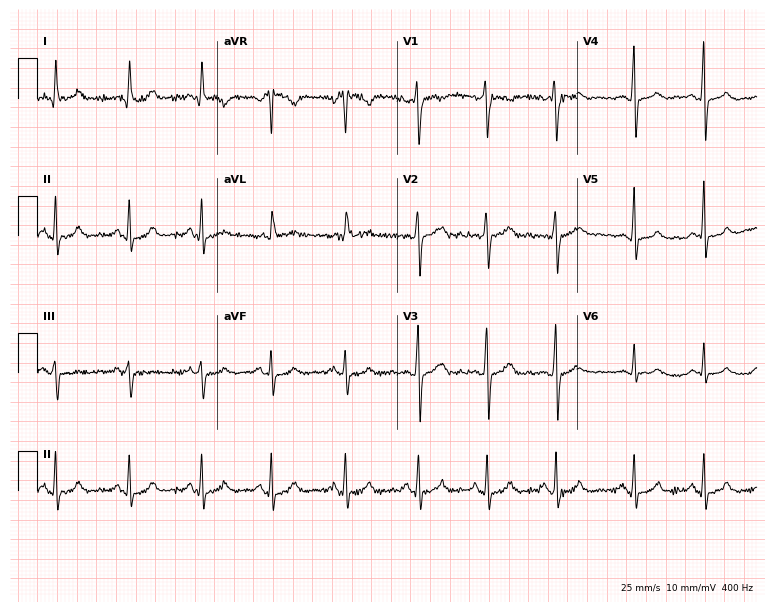
12-lead ECG from a woman, 29 years old. Screened for six findings — first-degree AV block, right bundle branch block, left bundle branch block, sinus bradycardia, atrial fibrillation, sinus tachycardia — none is recorded. Only these six findings were labelled.